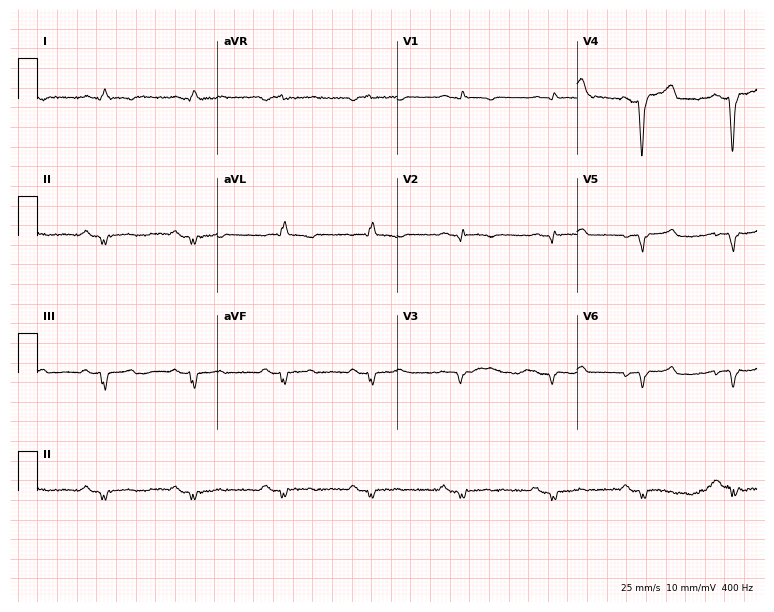
ECG — a female patient, 72 years old. Screened for six findings — first-degree AV block, right bundle branch block, left bundle branch block, sinus bradycardia, atrial fibrillation, sinus tachycardia — none is recorded.